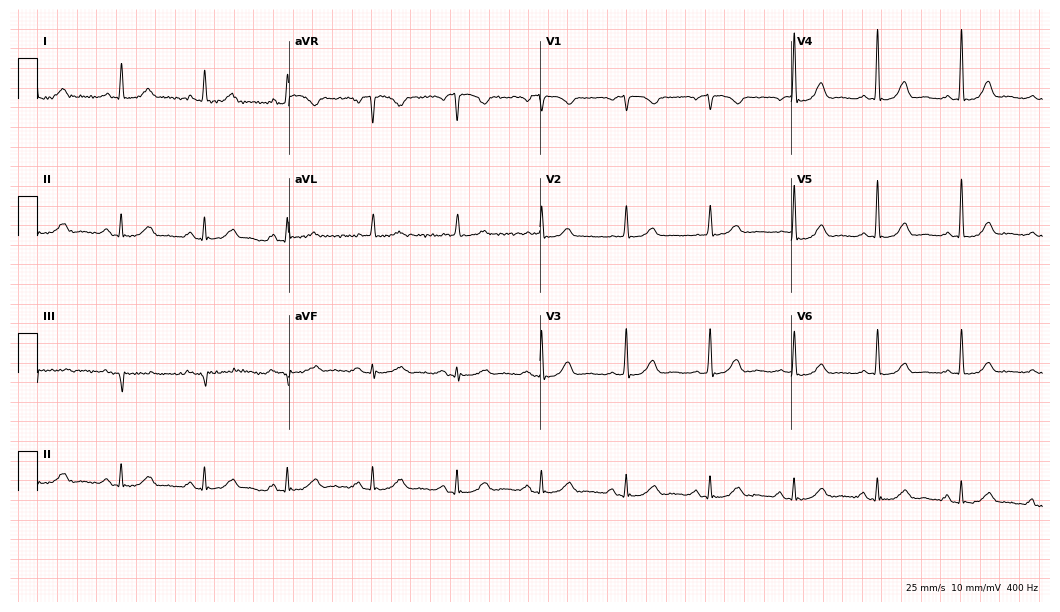
12-lead ECG from a 74-year-old female patient. Labelled as a normal ECG.